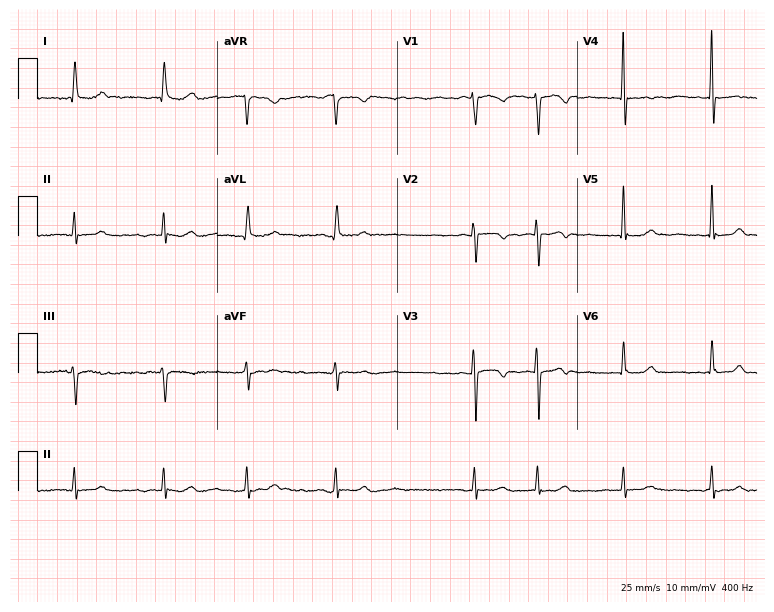
12-lead ECG from a woman, 81 years old (7.3-second recording at 400 Hz). No first-degree AV block, right bundle branch block, left bundle branch block, sinus bradycardia, atrial fibrillation or sinus tachycardia recorded for this tracing. Only these six findings were labelled.